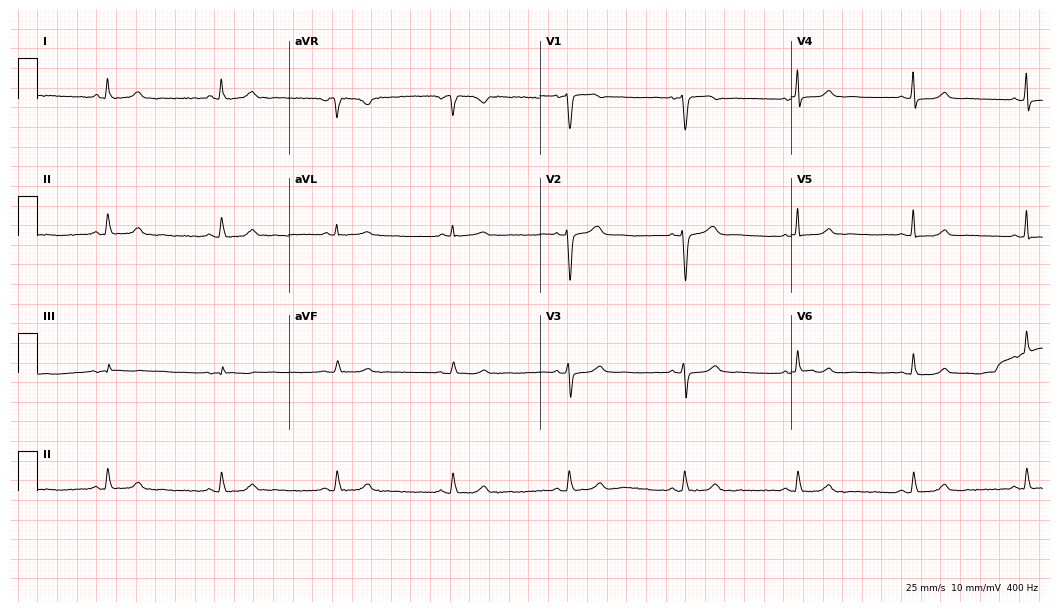
Resting 12-lead electrocardiogram. Patient: a woman, 69 years old. None of these six findings is recorded: first-degree AV block, right bundle branch block (RBBB), left bundle branch block (LBBB), sinus bradycardia, atrial fibrillation (AF), sinus tachycardia. Other findings, if any, are not listed.